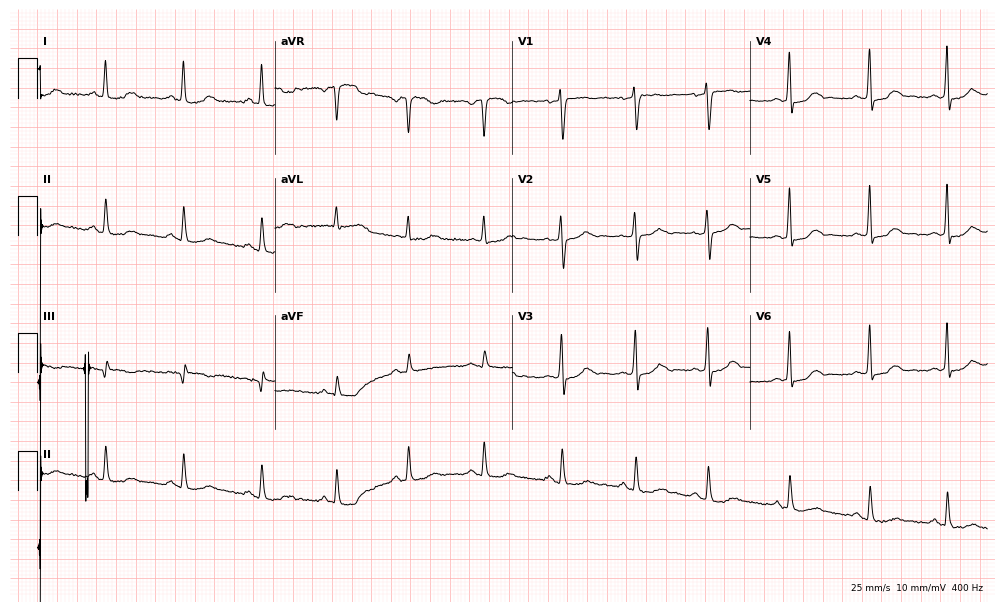
Resting 12-lead electrocardiogram (9.7-second recording at 400 Hz). Patient: a 43-year-old woman. None of these six findings is recorded: first-degree AV block, right bundle branch block, left bundle branch block, sinus bradycardia, atrial fibrillation, sinus tachycardia.